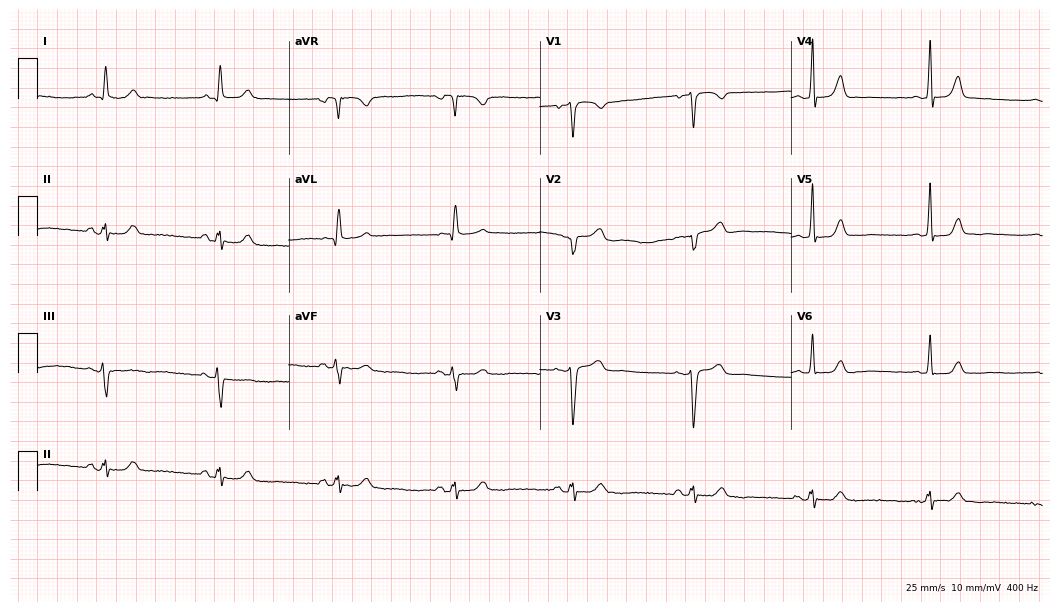
ECG — a female, 51 years old. Findings include sinus bradycardia (a sinus rate of 50 beats per minute or less).